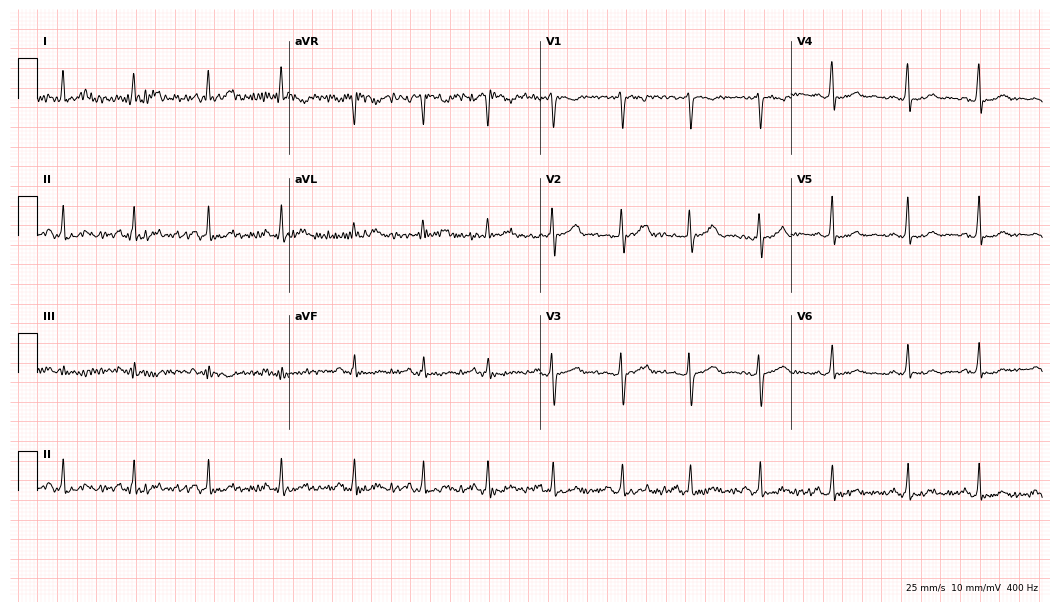
Electrocardiogram (10.2-second recording at 400 Hz), a female patient, 29 years old. Of the six screened findings (first-degree AV block, right bundle branch block (RBBB), left bundle branch block (LBBB), sinus bradycardia, atrial fibrillation (AF), sinus tachycardia), none is recorded. Only these six findings were labelled.